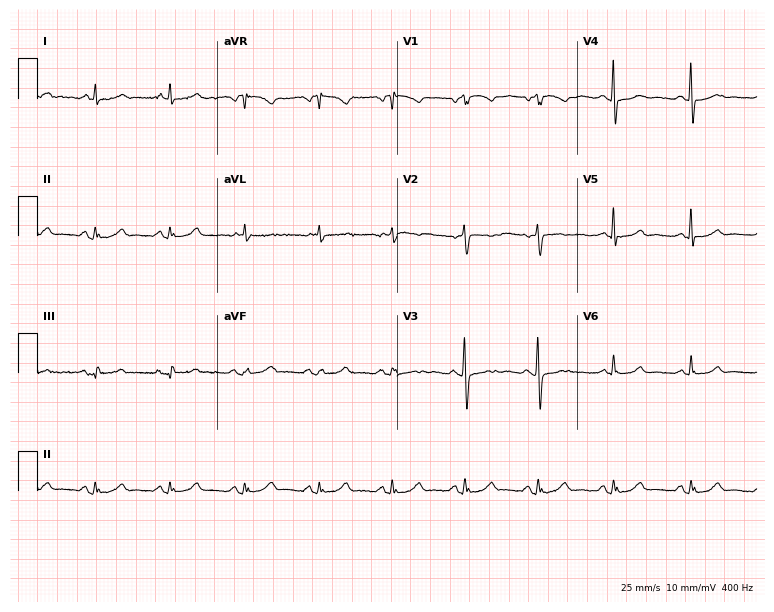
Standard 12-lead ECG recorded from a 57-year-old female. None of these six findings is recorded: first-degree AV block, right bundle branch block, left bundle branch block, sinus bradycardia, atrial fibrillation, sinus tachycardia.